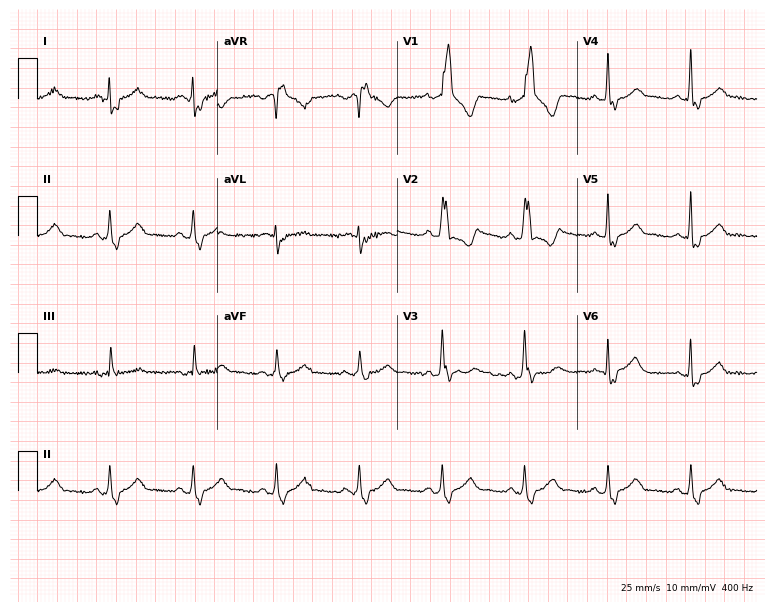
Resting 12-lead electrocardiogram (7.3-second recording at 400 Hz). Patient: a male, 69 years old. The tracing shows right bundle branch block.